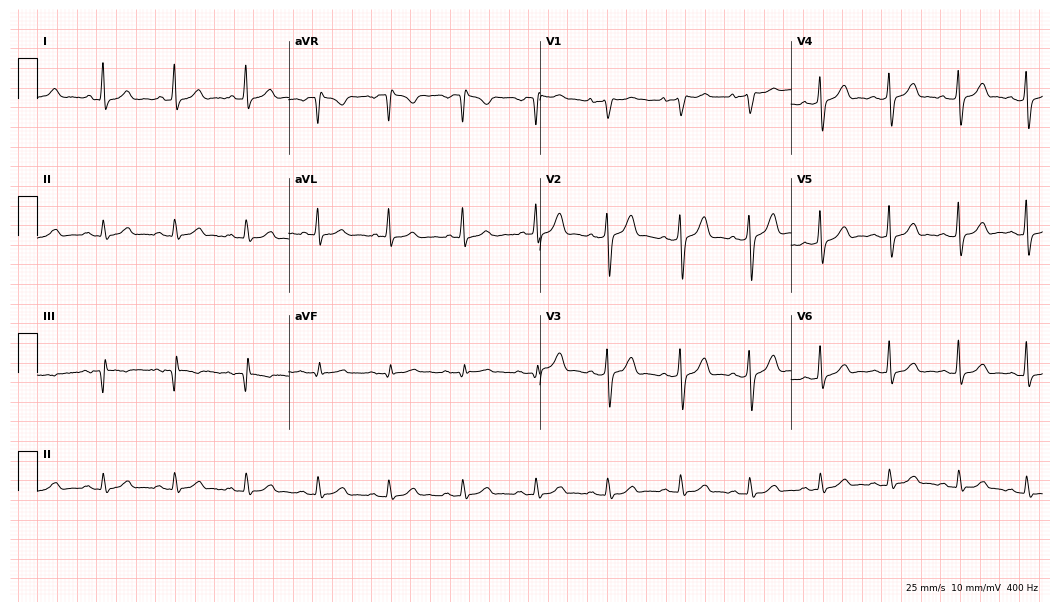
Resting 12-lead electrocardiogram (10.2-second recording at 400 Hz). Patient: a 33-year-old male. Read as a normal ECG.